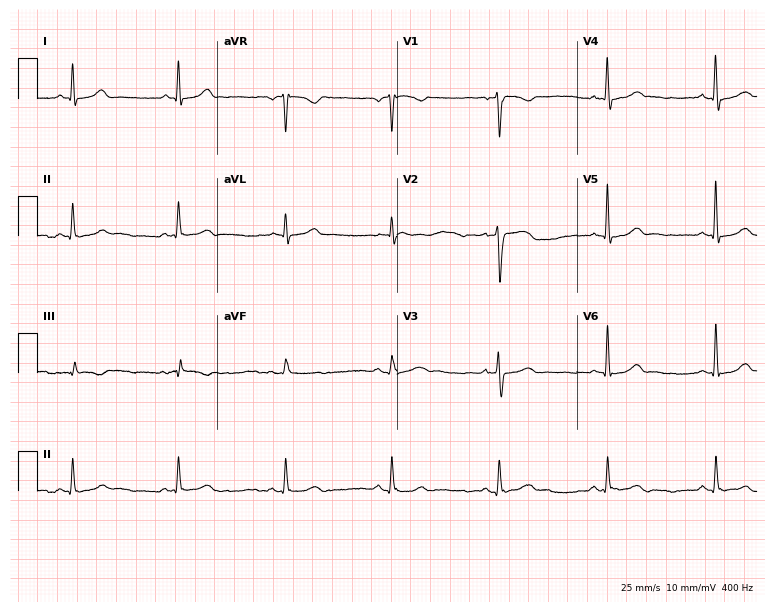
ECG — a male, 63 years old. Screened for six findings — first-degree AV block, right bundle branch block, left bundle branch block, sinus bradycardia, atrial fibrillation, sinus tachycardia — none is recorded.